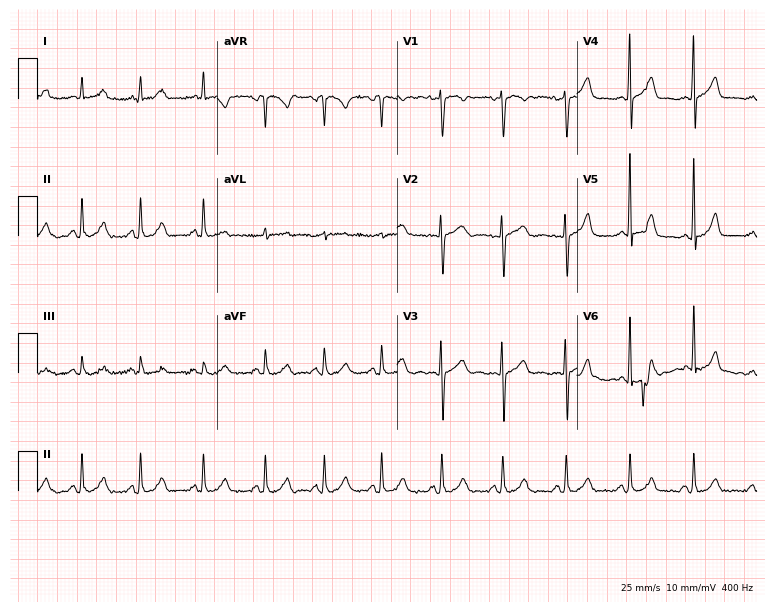
12-lead ECG from a 20-year-old female. Labelled as a normal ECG.